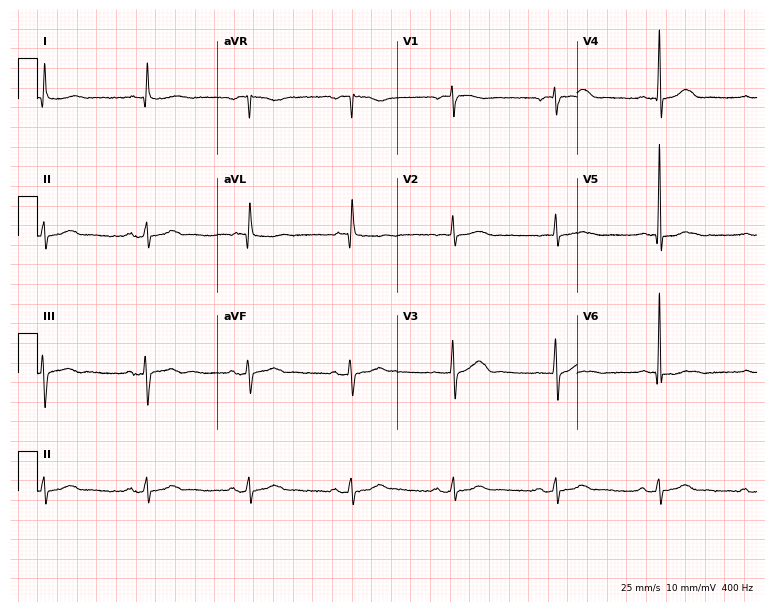
Electrocardiogram, a woman, 85 years old. Of the six screened findings (first-degree AV block, right bundle branch block, left bundle branch block, sinus bradycardia, atrial fibrillation, sinus tachycardia), none is recorded.